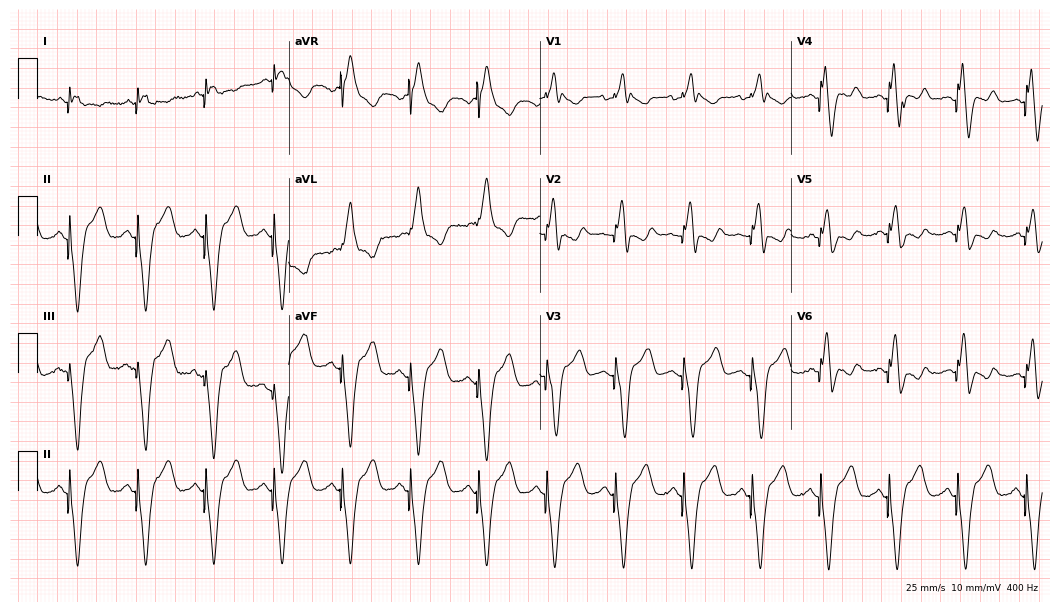
Electrocardiogram, a male, 48 years old. Of the six screened findings (first-degree AV block, right bundle branch block, left bundle branch block, sinus bradycardia, atrial fibrillation, sinus tachycardia), none is recorded.